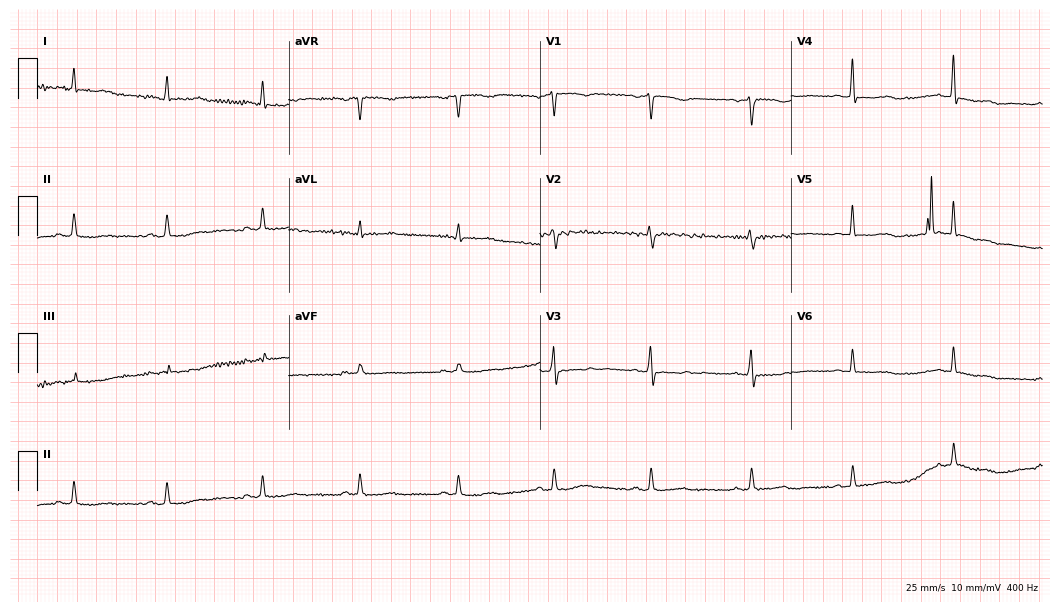
12-lead ECG from a woman, 77 years old. No first-degree AV block, right bundle branch block, left bundle branch block, sinus bradycardia, atrial fibrillation or sinus tachycardia recorded for this tracing.